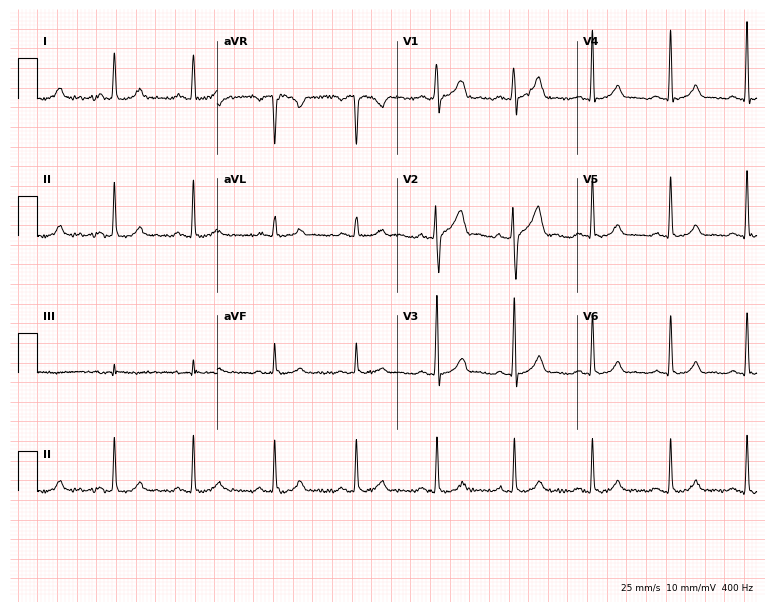
Resting 12-lead electrocardiogram (7.3-second recording at 400 Hz). Patient: a 54-year-old male. Read as a normal ECG.